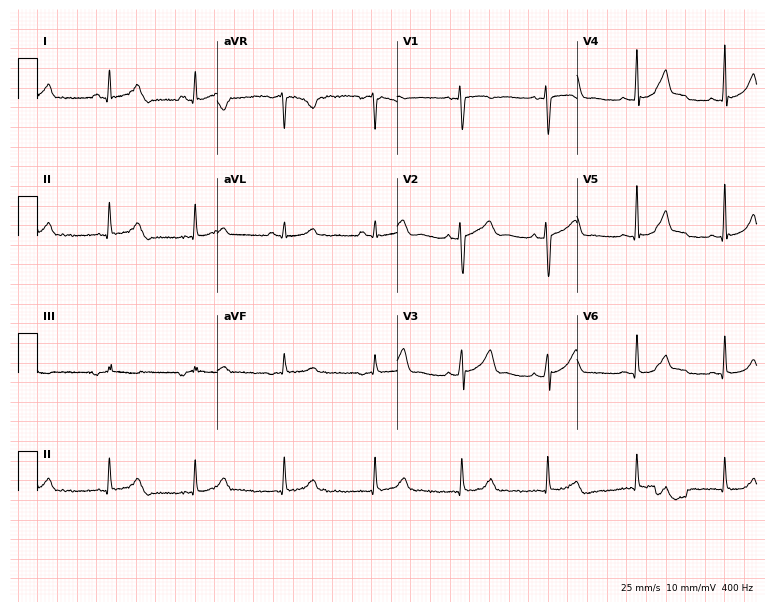
Electrocardiogram, a 35-year-old female patient. Of the six screened findings (first-degree AV block, right bundle branch block, left bundle branch block, sinus bradycardia, atrial fibrillation, sinus tachycardia), none is recorded.